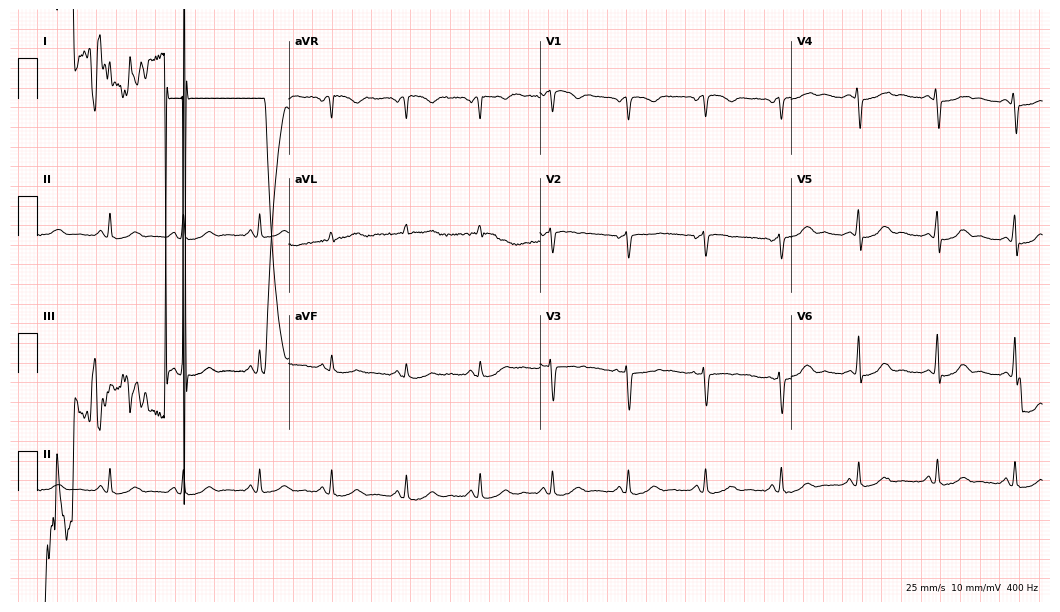
12-lead ECG from a 51-year-old female. Screened for six findings — first-degree AV block, right bundle branch block (RBBB), left bundle branch block (LBBB), sinus bradycardia, atrial fibrillation (AF), sinus tachycardia — none is recorded.